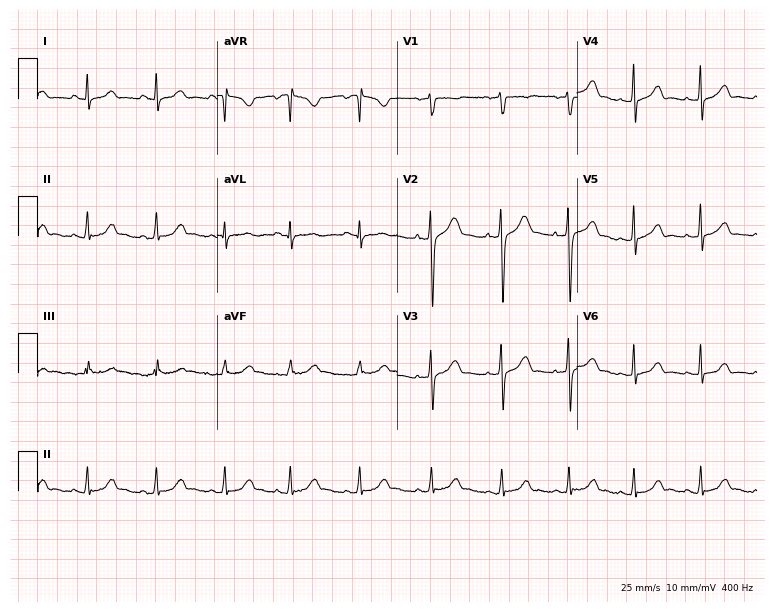
ECG (7.3-second recording at 400 Hz) — a woman, 21 years old. Screened for six findings — first-degree AV block, right bundle branch block (RBBB), left bundle branch block (LBBB), sinus bradycardia, atrial fibrillation (AF), sinus tachycardia — none is recorded. Only these six findings were labelled.